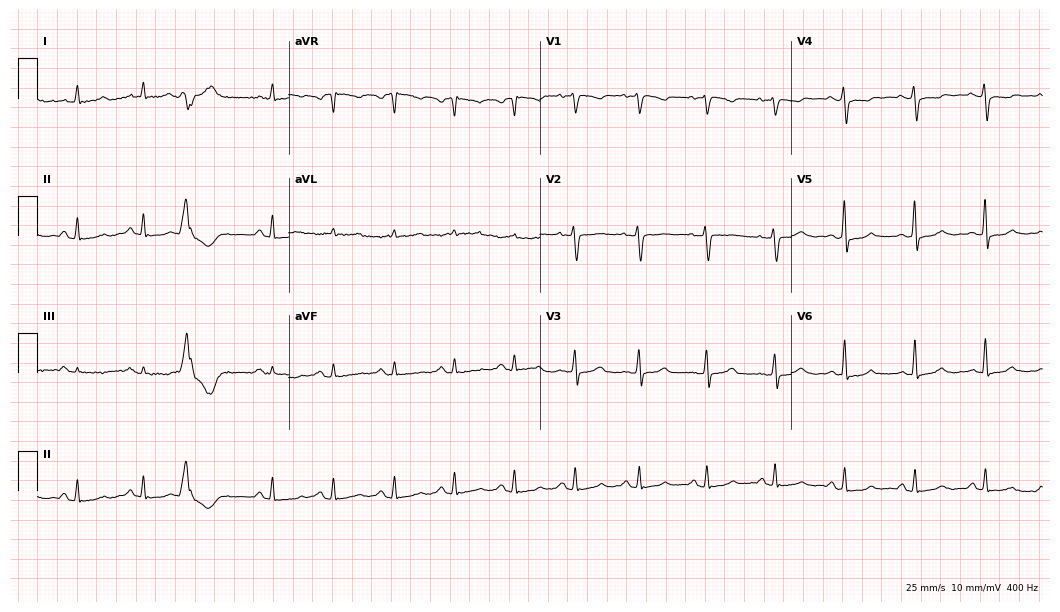
12-lead ECG from a 60-year-old woman (10.2-second recording at 400 Hz). No first-degree AV block, right bundle branch block (RBBB), left bundle branch block (LBBB), sinus bradycardia, atrial fibrillation (AF) or sinus tachycardia recorded for this tracing. Only these six findings were labelled.